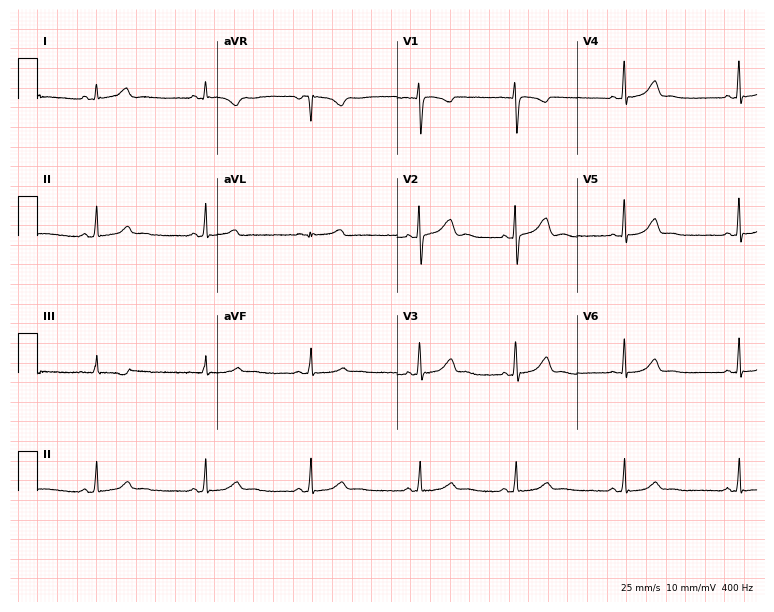
12-lead ECG (7.3-second recording at 400 Hz) from a woman, 17 years old. Screened for six findings — first-degree AV block, right bundle branch block, left bundle branch block, sinus bradycardia, atrial fibrillation, sinus tachycardia — none is recorded.